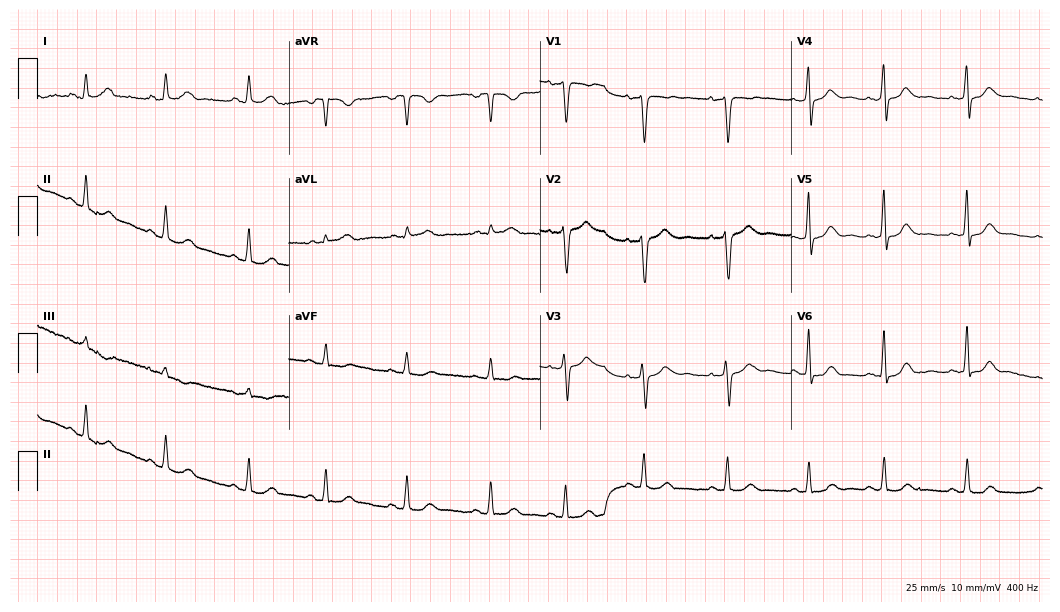
Electrocardiogram, a female patient, 29 years old. Overall reading on record: normal ECG.